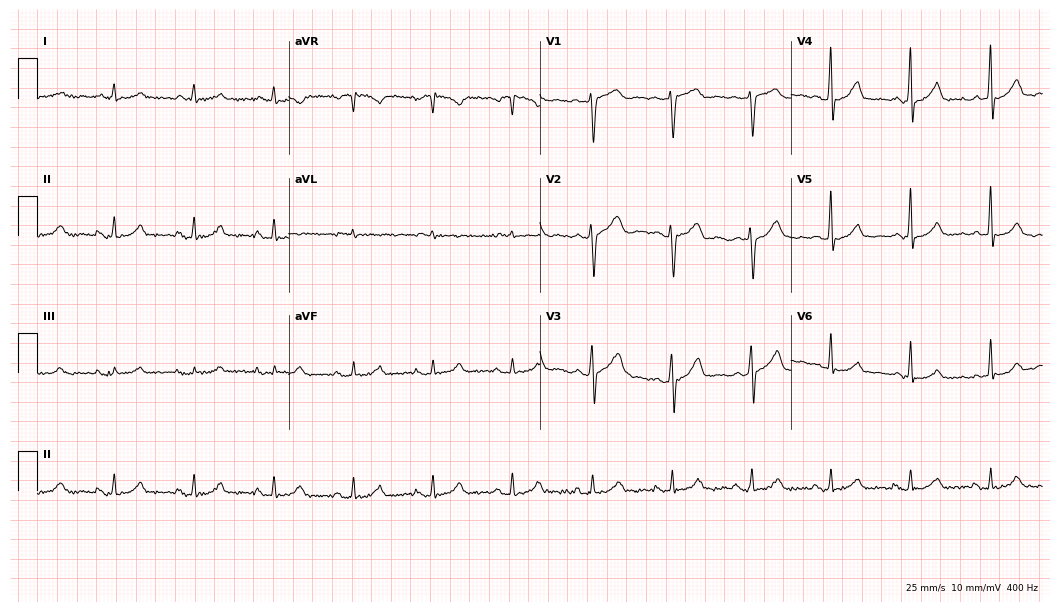
Resting 12-lead electrocardiogram. Patient: a 73-year-old male. Read as a normal ECG.